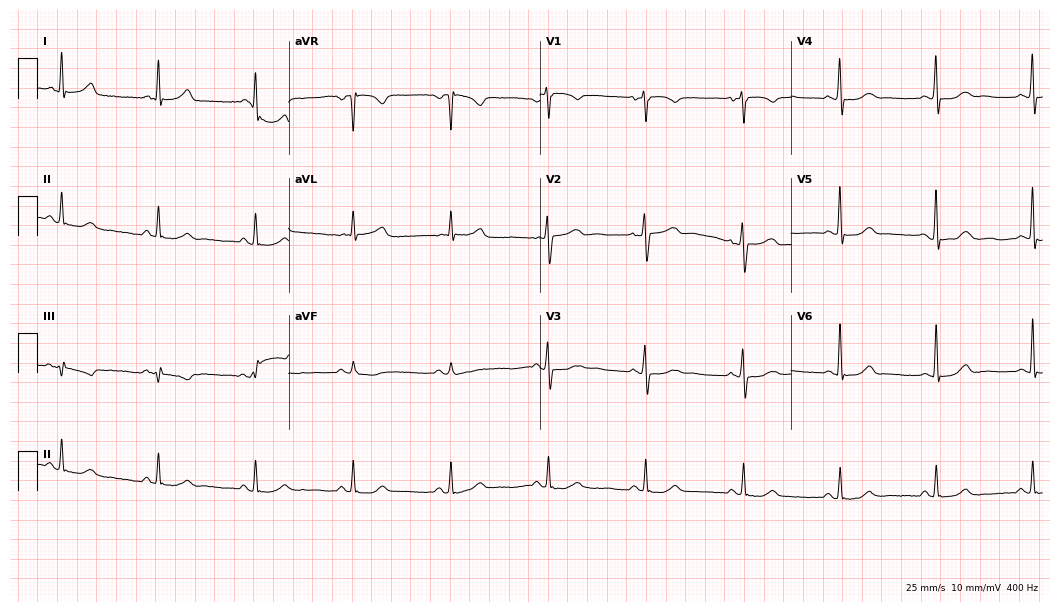
Resting 12-lead electrocardiogram (10.2-second recording at 400 Hz). Patient: a 68-year-old woman. Read as a normal ECG.